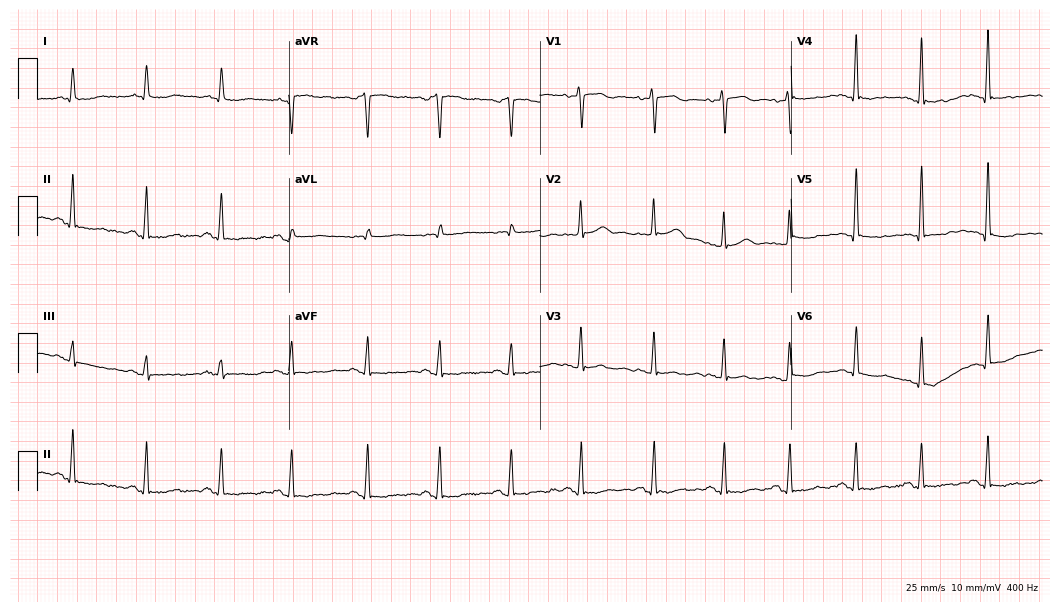
12-lead ECG (10.2-second recording at 400 Hz) from a woman, 61 years old. Screened for six findings — first-degree AV block, right bundle branch block, left bundle branch block, sinus bradycardia, atrial fibrillation, sinus tachycardia — none is recorded. Other findings, if any, are not listed.